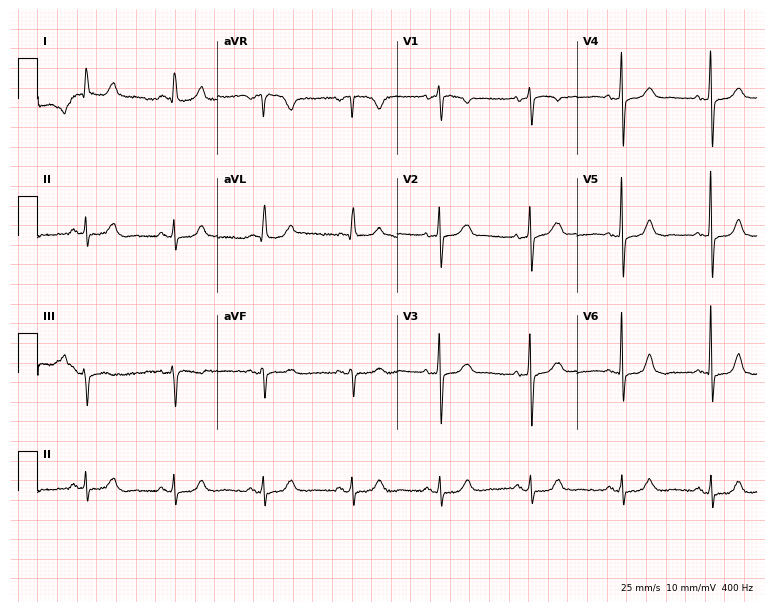
Standard 12-lead ECG recorded from a female patient, 68 years old. Read as a normal ECG.